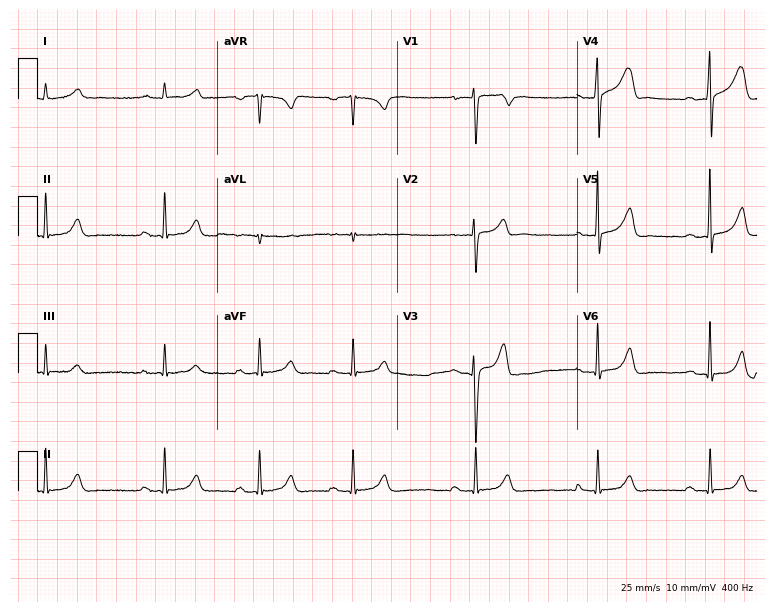
ECG — a 25-year-old man. Findings include first-degree AV block.